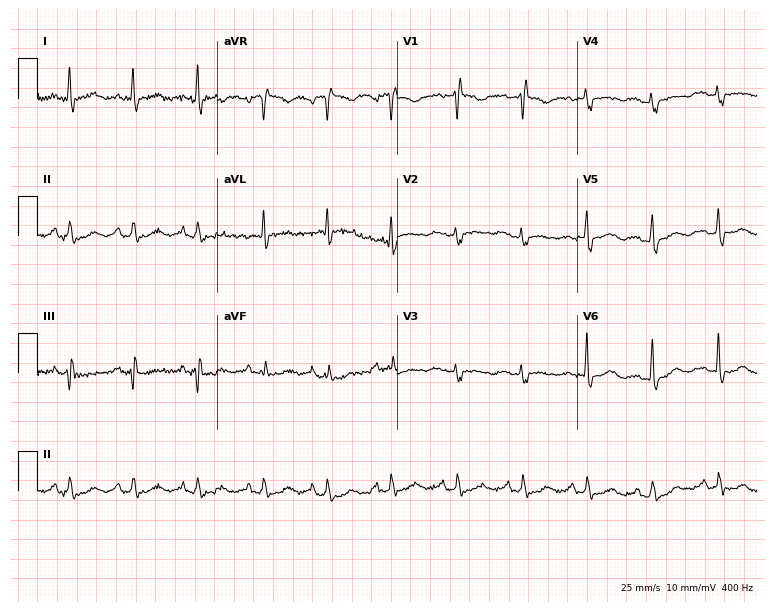
12-lead ECG from a woman, 77 years old. No first-degree AV block, right bundle branch block (RBBB), left bundle branch block (LBBB), sinus bradycardia, atrial fibrillation (AF) or sinus tachycardia recorded for this tracing.